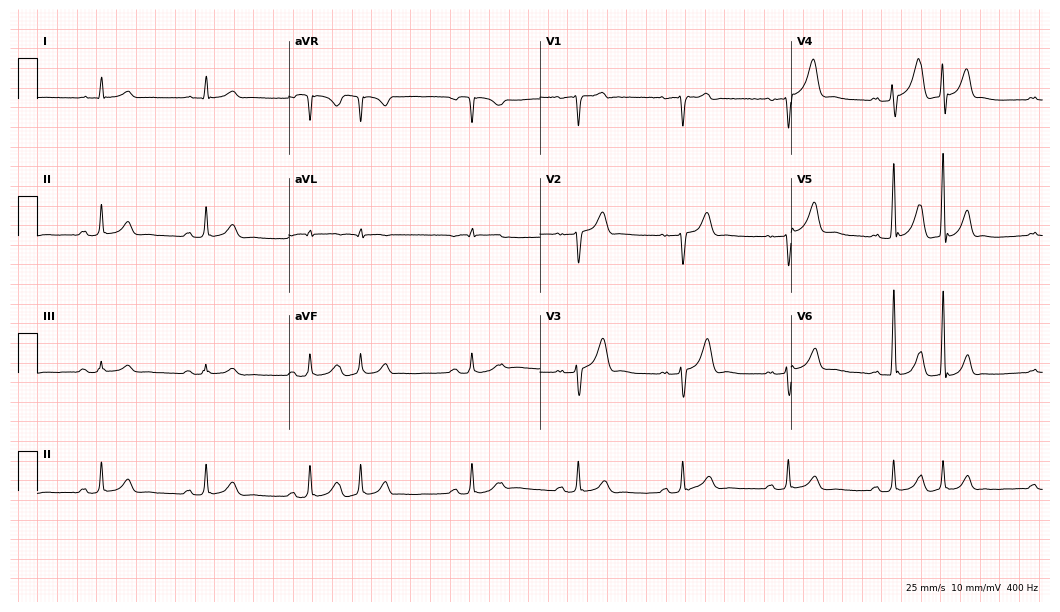
ECG (10.2-second recording at 400 Hz) — a male, 53 years old. Labelled as a normal ECG.